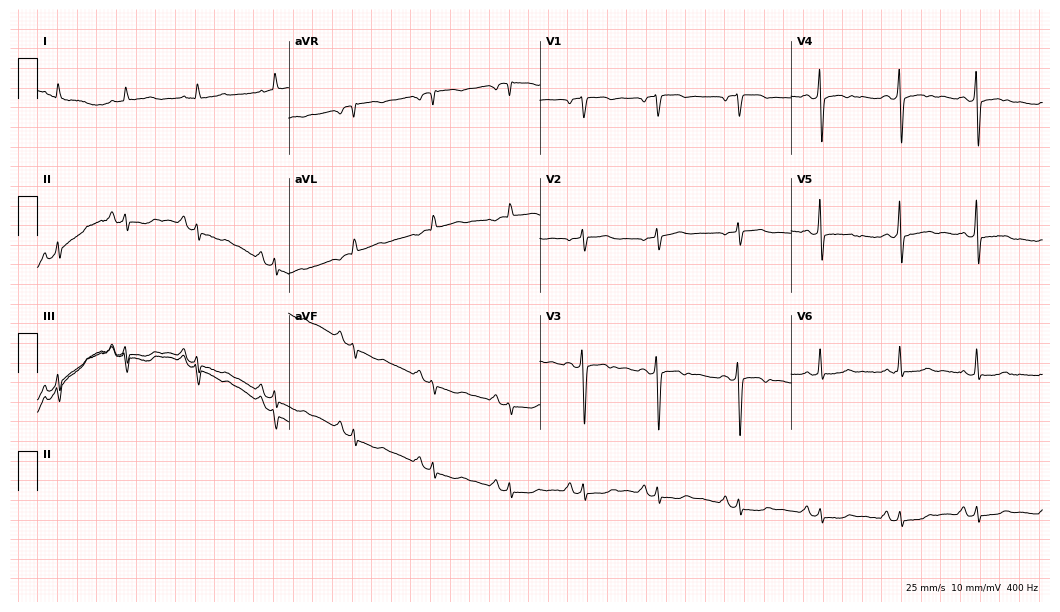
Resting 12-lead electrocardiogram. Patient: a woman, 42 years old. None of these six findings is recorded: first-degree AV block, right bundle branch block, left bundle branch block, sinus bradycardia, atrial fibrillation, sinus tachycardia. Findings outside these six are not listed.